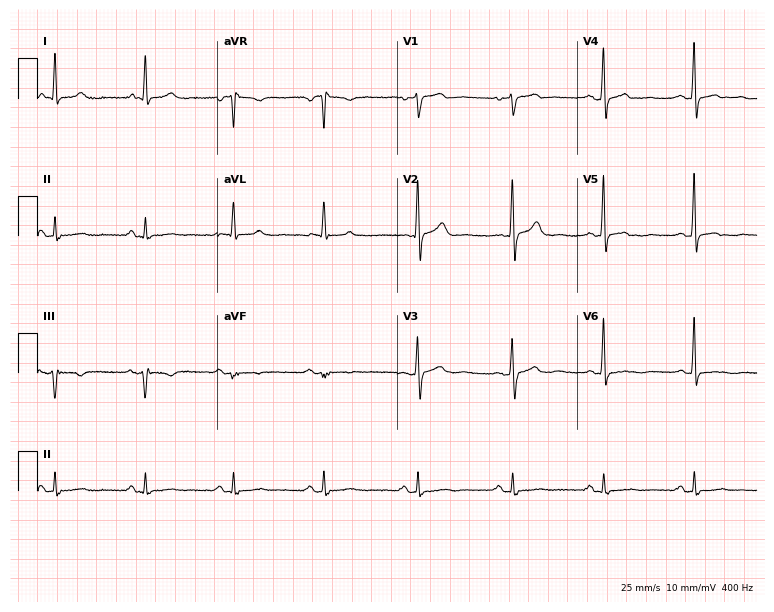
12-lead ECG (7.3-second recording at 400 Hz) from a male patient, 77 years old. Screened for six findings — first-degree AV block, right bundle branch block, left bundle branch block, sinus bradycardia, atrial fibrillation, sinus tachycardia — none is recorded.